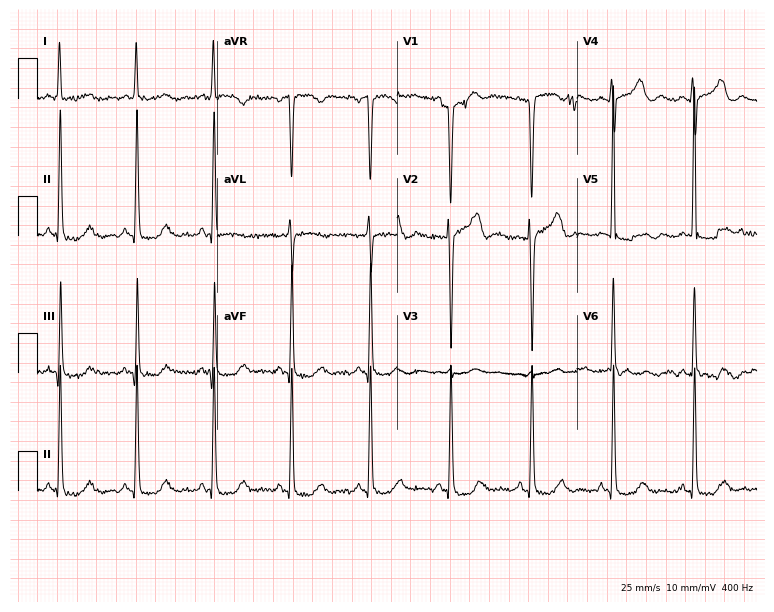
12-lead ECG from a woman, 53 years old. Screened for six findings — first-degree AV block, right bundle branch block, left bundle branch block, sinus bradycardia, atrial fibrillation, sinus tachycardia — none is recorded. Only these six findings were labelled.